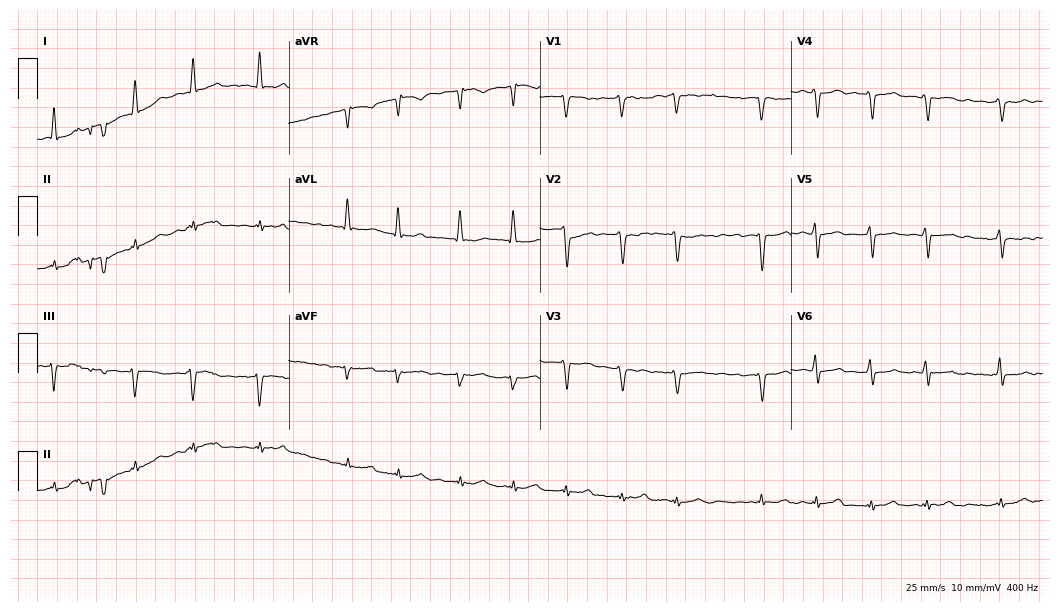
Standard 12-lead ECG recorded from a male patient, 64 years old. The tracing shows atrial fibrillation (AF).